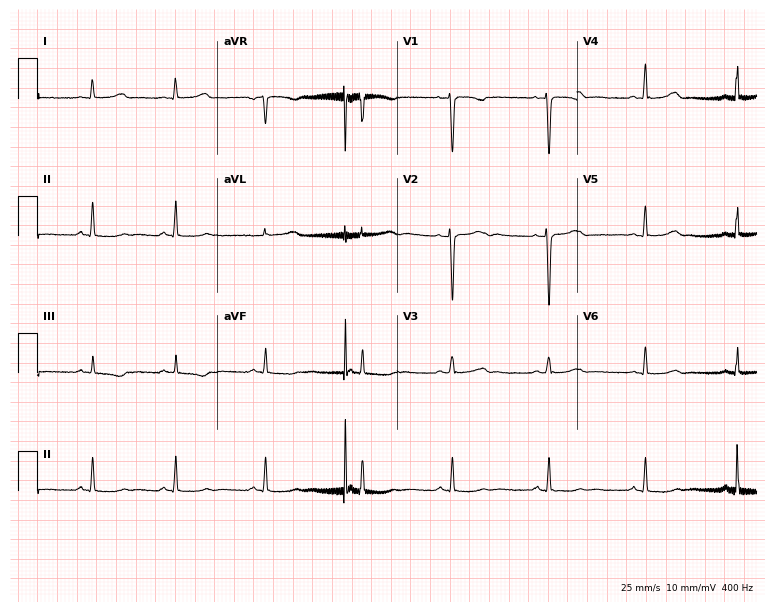
12-lead ECG from a female patient, 18 years old. No first-degree AV block, right bundle branch block, left bundle branch block, sinus bradycardia, atrial fibrillation or sinus tachycardia recorded for this tracing. Only these six findings were labelled.